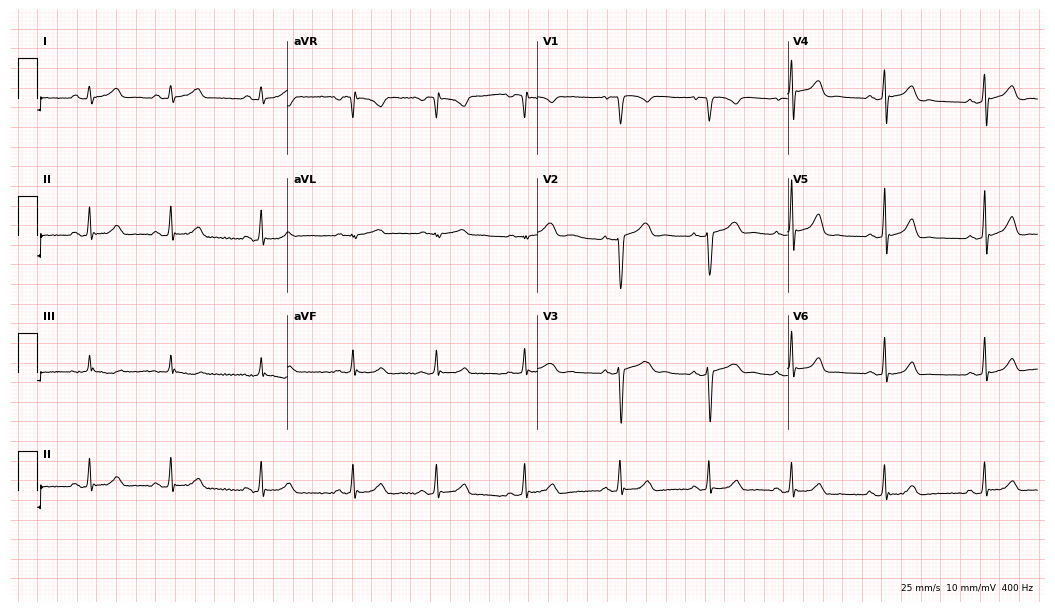
ECG — a 17-year-old female. Labelled as a normal ECG.